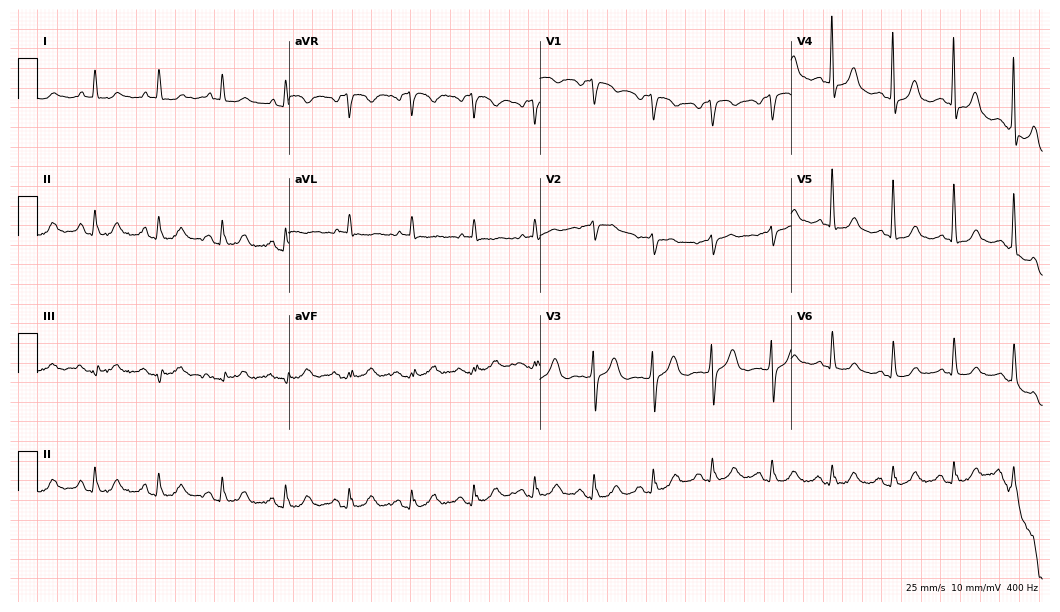
ECG — a male, 76 years old. Labelled as a normal ECG.